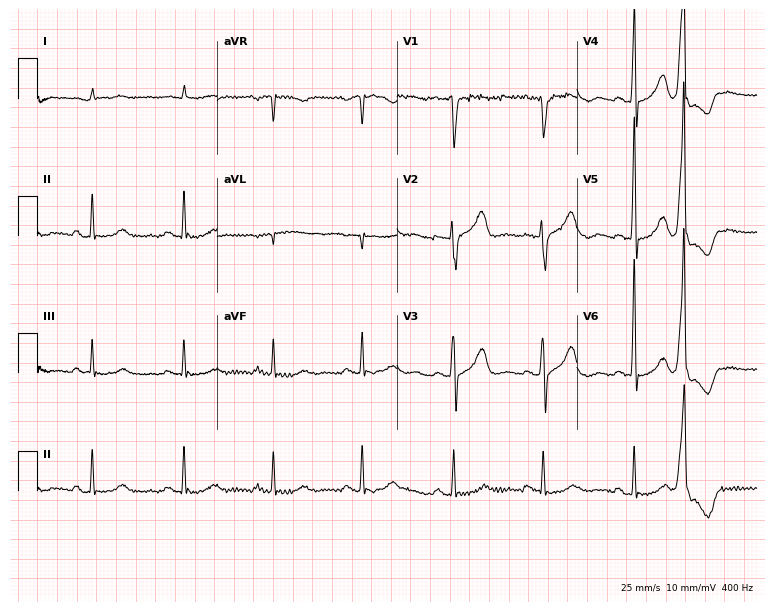
12-lead ECG from a male patient, 79 years old (7.3-second recording at 400 Hz). No first-degree AV block, right bundle branch block, left bundle branch block, sinus bradycardia, atrial fibrillation or sinus tachycardia recorded for this tracing. Only these six findings were labelled.